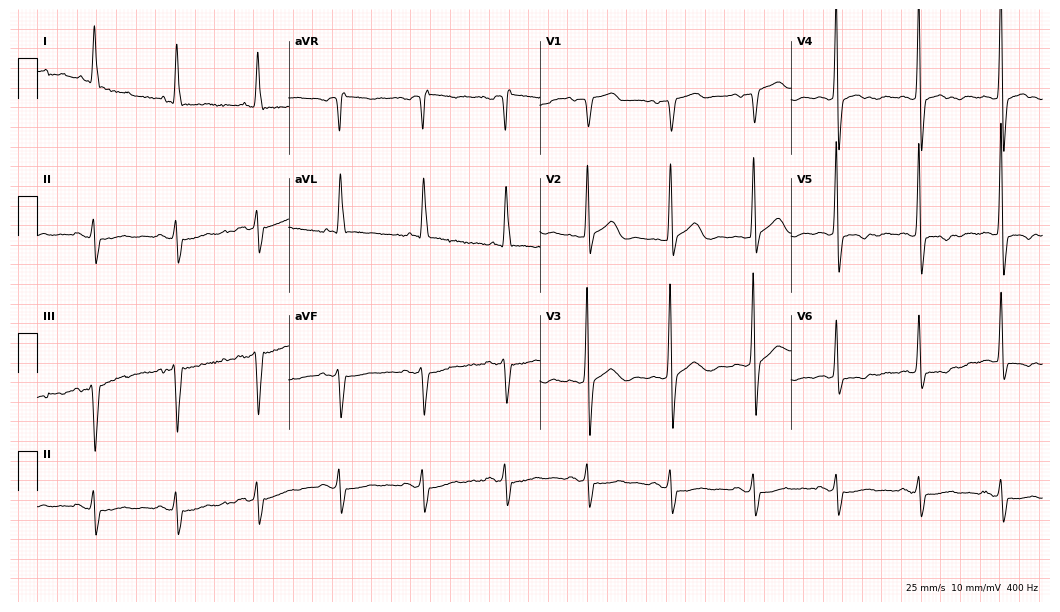
12-lead ECG (10.2-second recording at 400 Hz) from a man, 81 years old. Screened for six findings — first-degree AV block, right bundle branch block (RBBB), left bundle branch block (LBBB), sinus bradycardia, atrial fibrillation (AF), sinus tachycardia — none is recorded. Other findings, if any, are not listed.